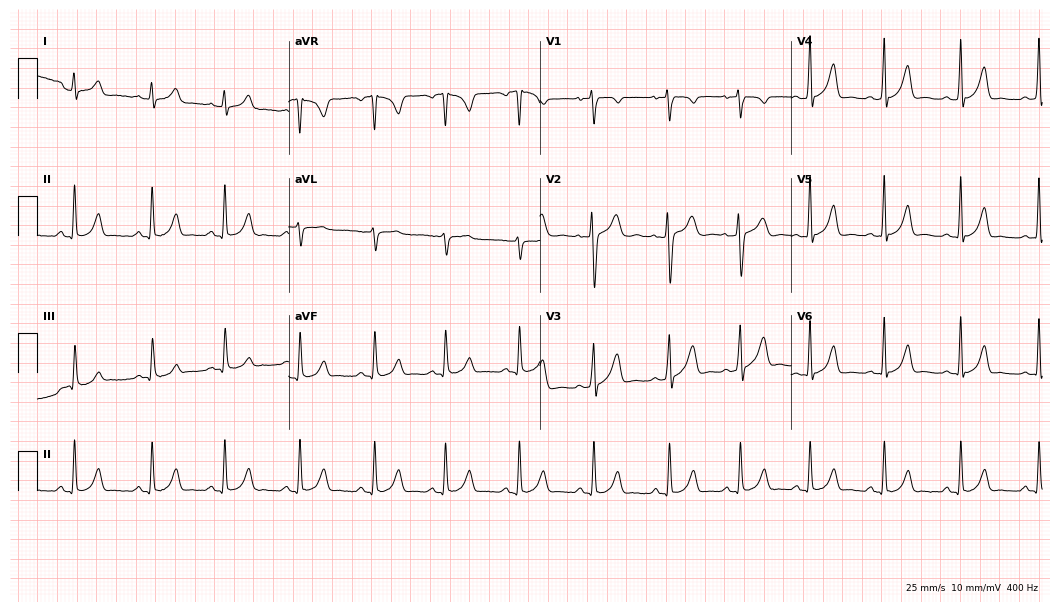
Electrocardiogram (10.2-second recording at 400 Hz), a 17-year-old female. Of the six screened findings (first-degree AV block, right bundle branch block (RBBB), left bundle branch block (LBBB), sinus bradycardia, atrial fibrillation (AF), sinus tachycardia), none is recorded.